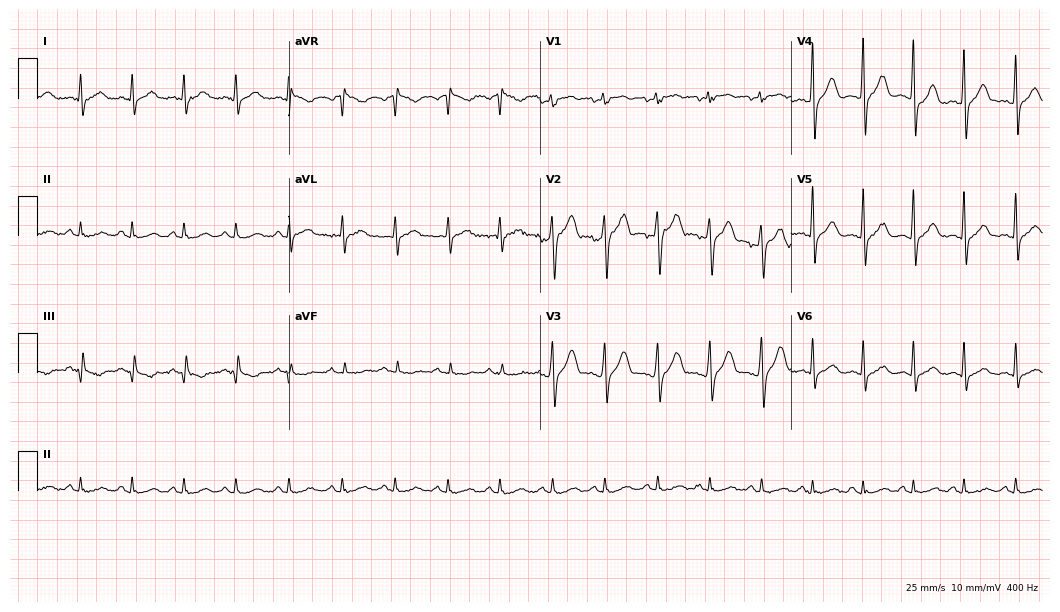
12-lead ECG from a male patient, 39 years old. Shows sinus tachycardia (a sinus rate of 100 beats per minute or more).